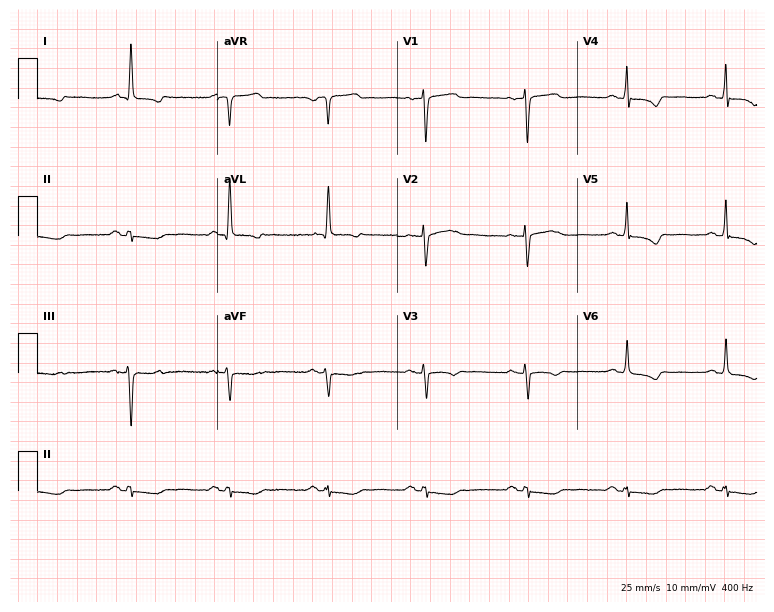
12-lead ECG from a woman, 73 years old (7.3-second recording at 400 Hz). No first-degree AV block, right bundle branch block (RBBB), left bundle branch block (LBBB), sinus bradycardia, atrial fibrillation (AF) or sinus tachycardia recorded for this tracing. Only these six findings were labelled.